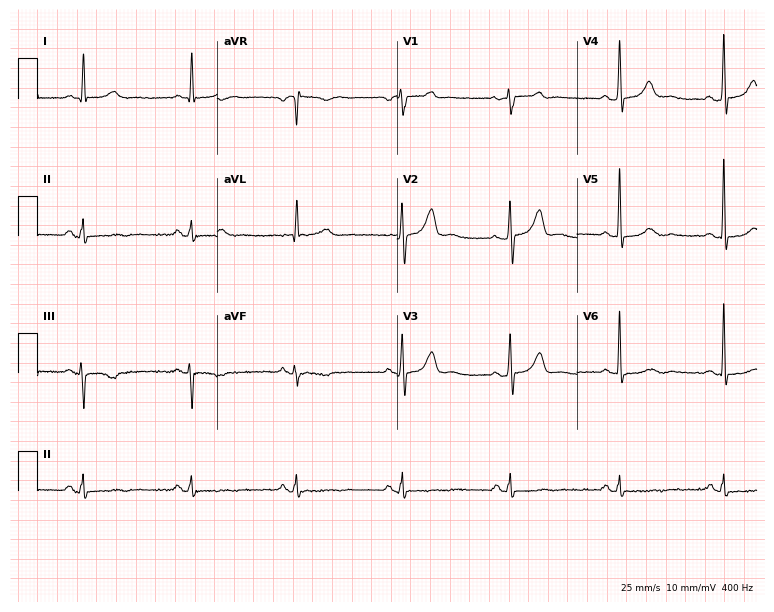
Standard 12-lead ECG recorded from a 75-year-old male patient. Read as a normal ECG.